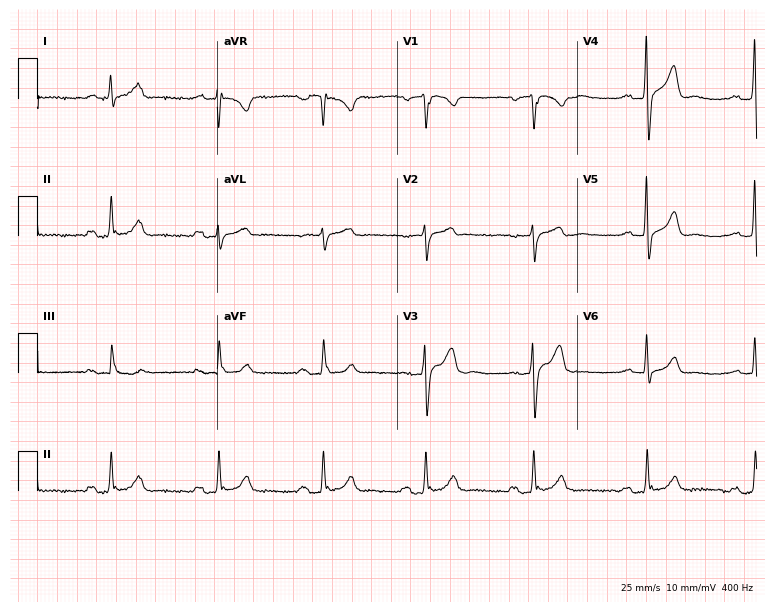
Resting 12-lead electrocardiogram. Patient: a male, 58 years old. The tracing shows first-degree AV block.